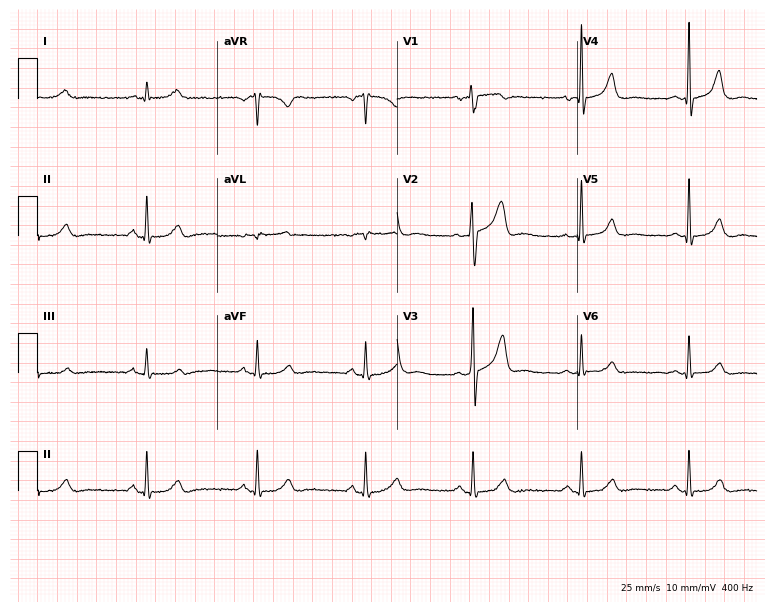
12-lead ECG from a man, 64 years old. Recorded interpretation: within normal limits.